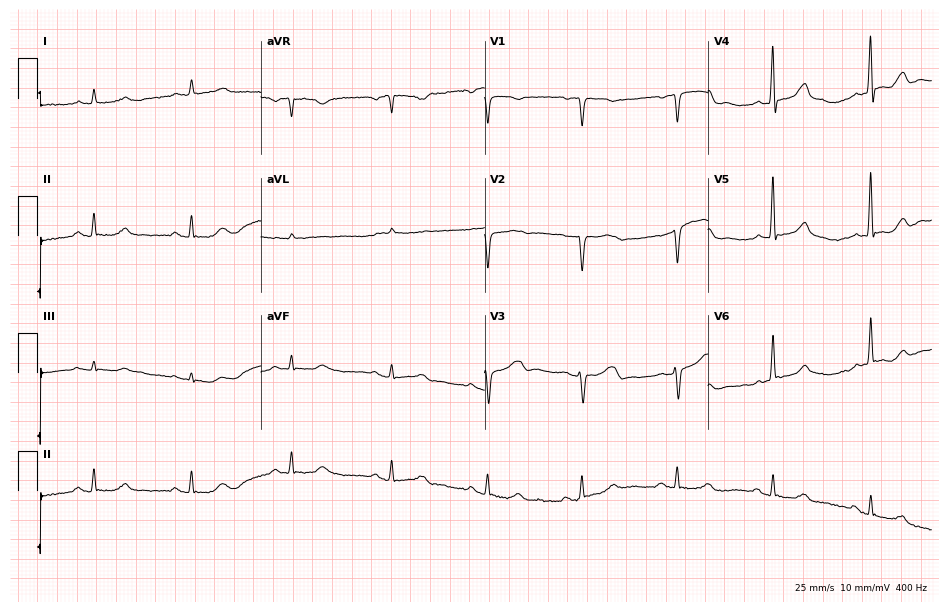
ECG — a 64-year-old female. Screened for six findings — first-degree AV block, right bundle branch block, left bundle branch block, sinus bradycardia, atrial fibrillation, sinus tachycardia — none is recorded. Other findings, if any, are not listed.